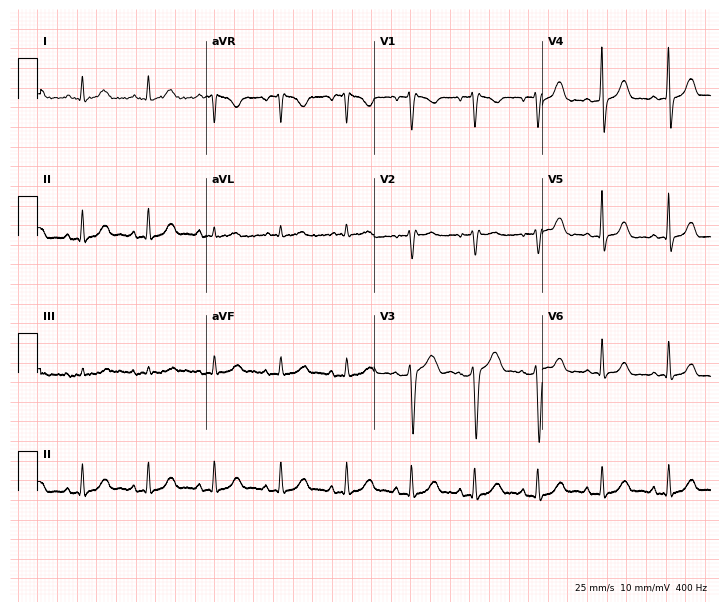
Standard 12-lead ECG recorded from a woman, 35 years old (6.9-second recording at 400 Hz). Read as a normal ECG.